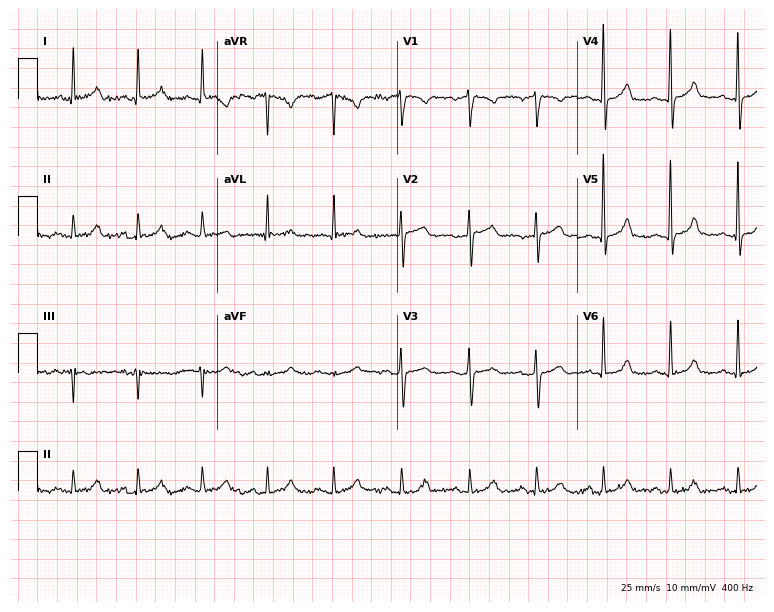
12-lead ECG from a 52-year-old female patient (7.3-second recording at 400 Hz). No first-degree AV block, right bundle branch block (RBBB), left bundle branch block (LBBB), sinus bradycardia, atrial fibrillation (AF) or sinus tachycardia recorded for this tracing.